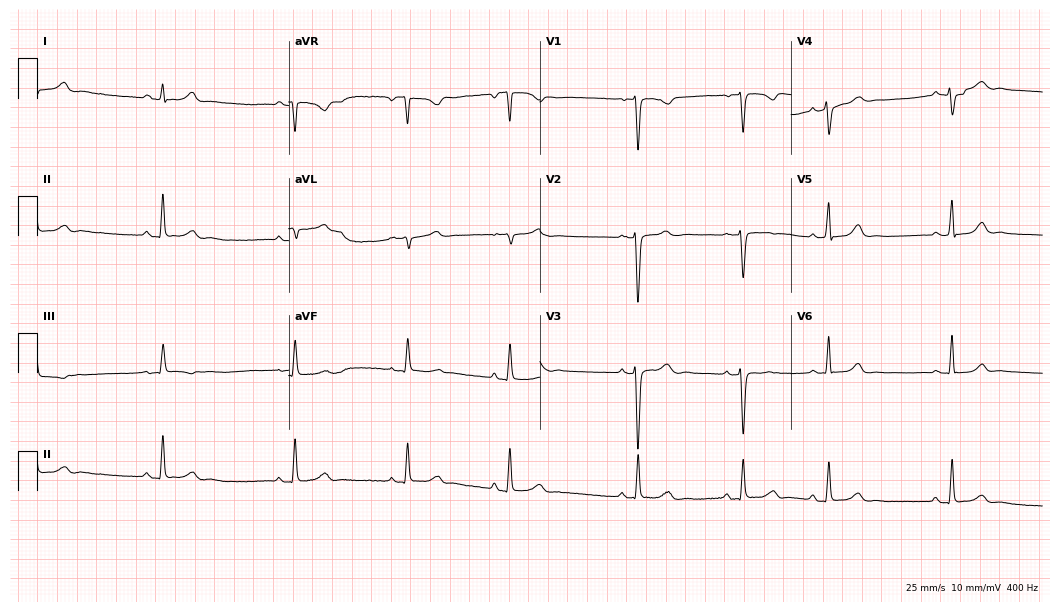
Standard 12-lead ECG recorded from a female patient, 40 years old (10.2-second recording at 400 Hz). None of these six findings is recorded: first-degree AV block, right bundle branch block (RBBB), left bundle branch block (LBBB), sinus bradycardia, atrial fibrillation (AF), sinus tachycardia. Findings outside these six are not listed.